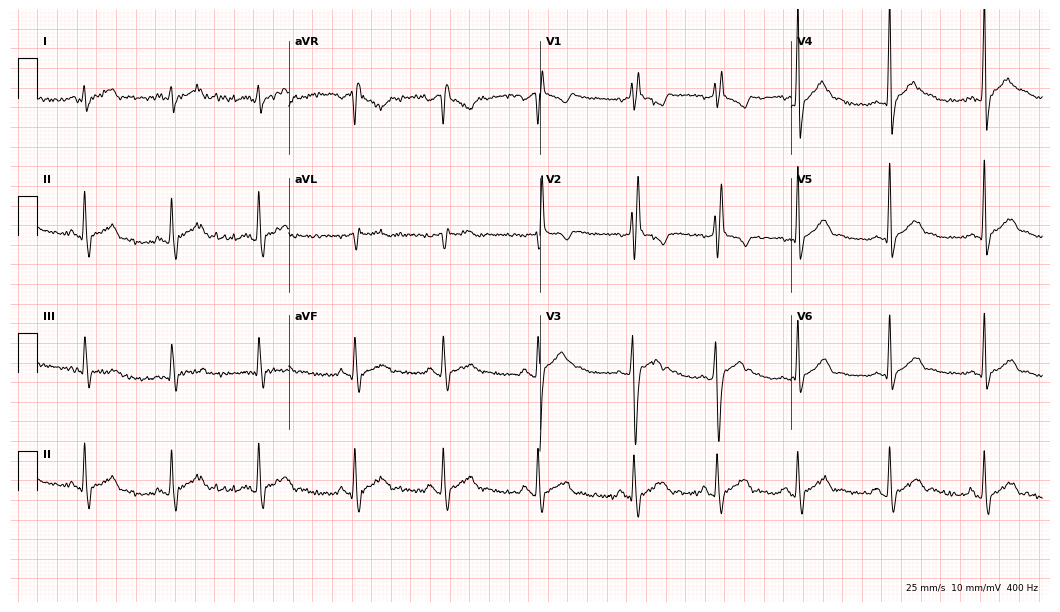
ECG — a man, 18 years old. Screened for six findings — first-degree AV block, right bundle branch block, left bundle branch block, sinus bradycardia, atrial fibrillation, sinus tachycardia — none is recorded.